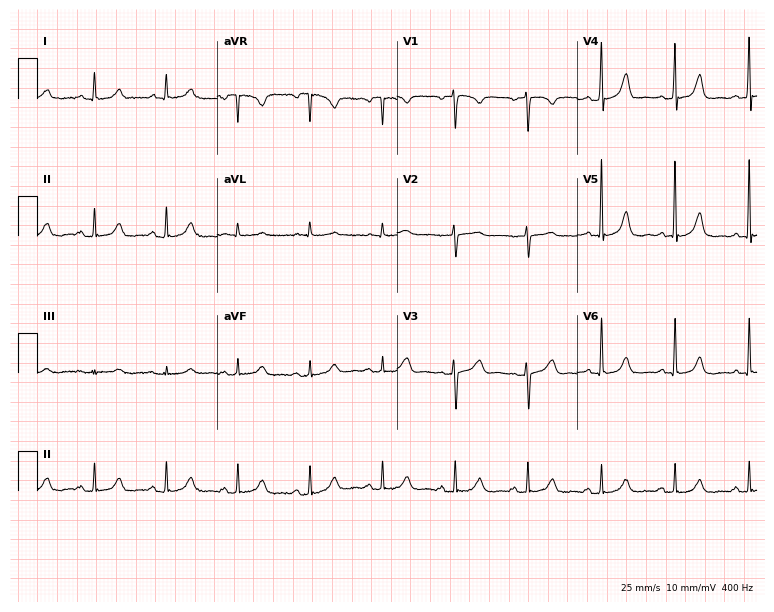
12-lead ECG from a 68-year-old female. Labelled as a normal ECG.